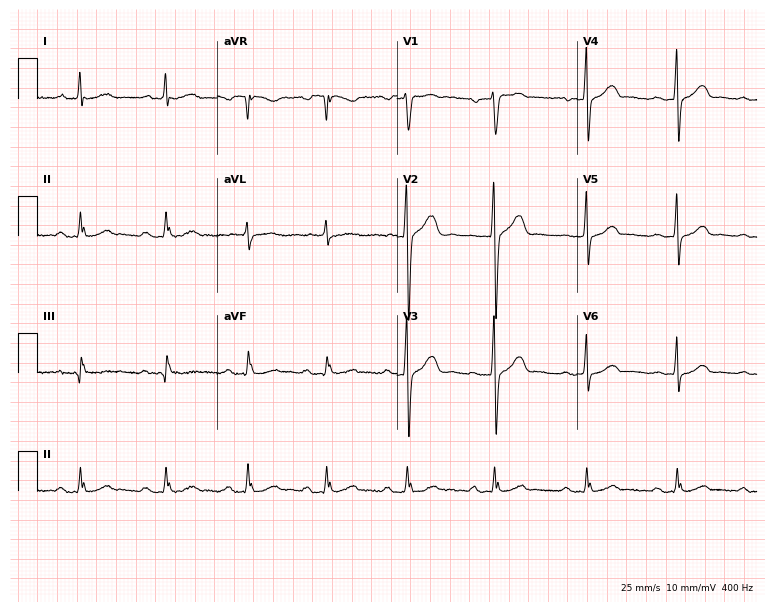
Electrocardiogram (7.3-second recording at 400 Hz), a male, 45 years old. Interpretation includes first-degree AV block.